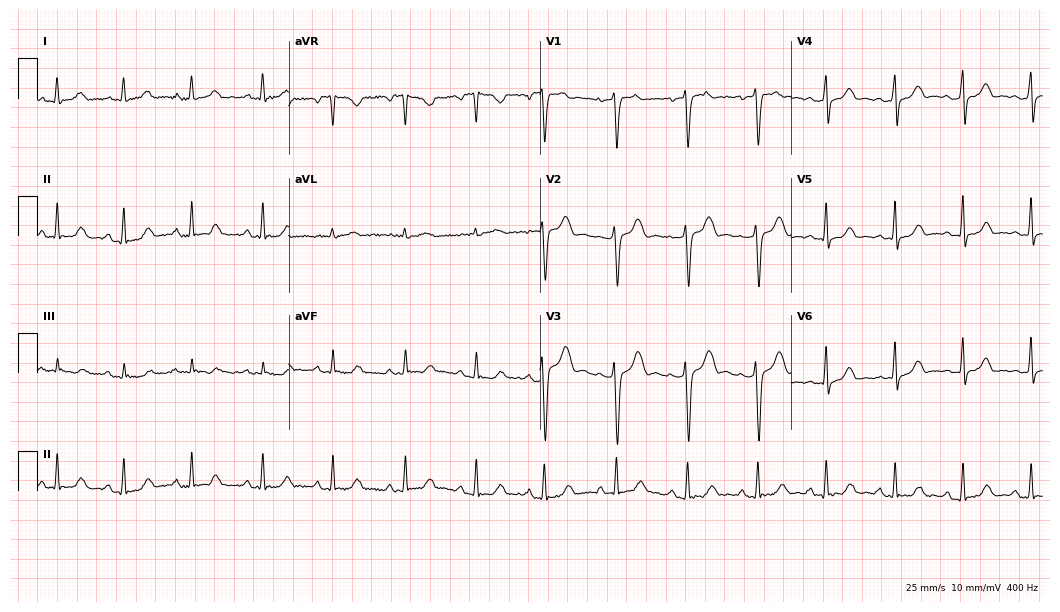
Standard 12-lead ECG recorded from a 46-year-old woman. Read as a normal ECG.